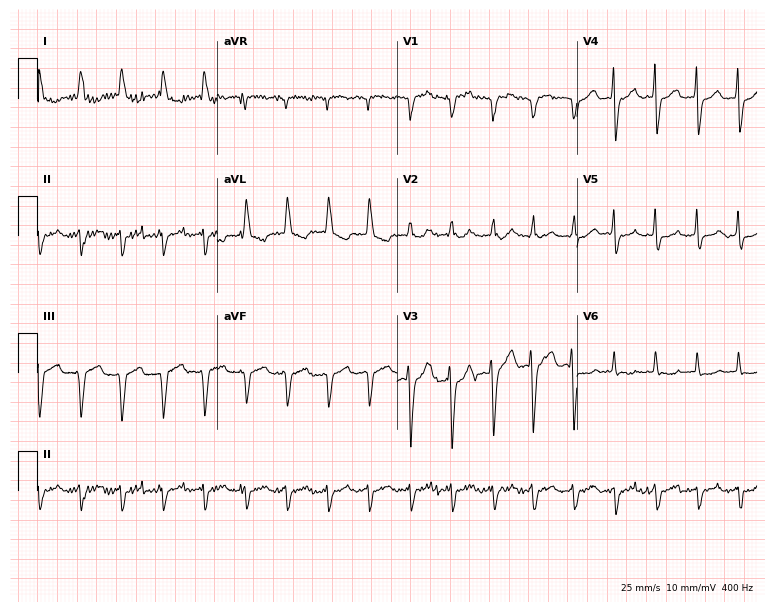
ECG (7.3-second recording at 400 Hz) — an 81-year-old male patient. Screened for six findings — first-degree AV block, right bundle branch block (RBBB), left bundle branch block (LBBB), sinus bradycardia, atrial fibrillation (AF), sinus tachycardia — none is recorded. Other findings, if any, are not listed.